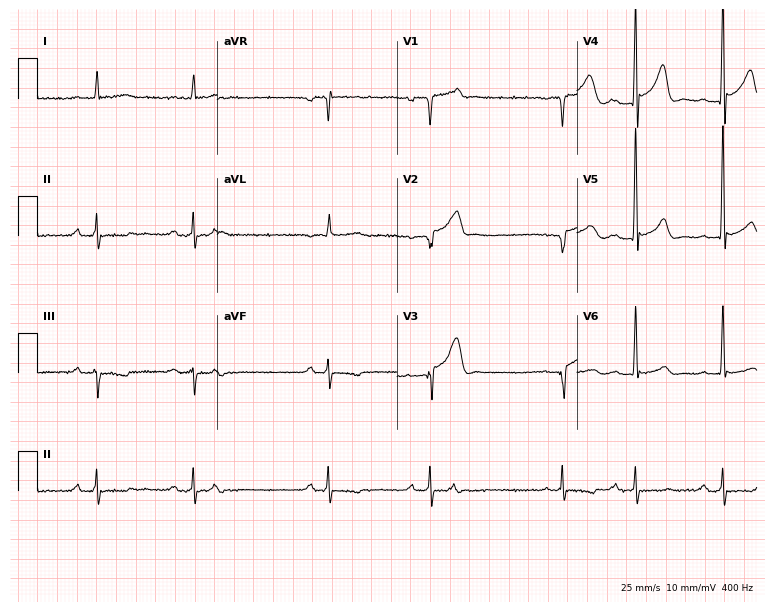
12-lead ECG from a male, 82 years old. Screened for six findings — first-degree AV block, right bundle branch block, left bundle branch block, sinus bradycardia, atrial fibrillation, sinus tachycardia — none is recorded. Other findings, if any, are not listed.